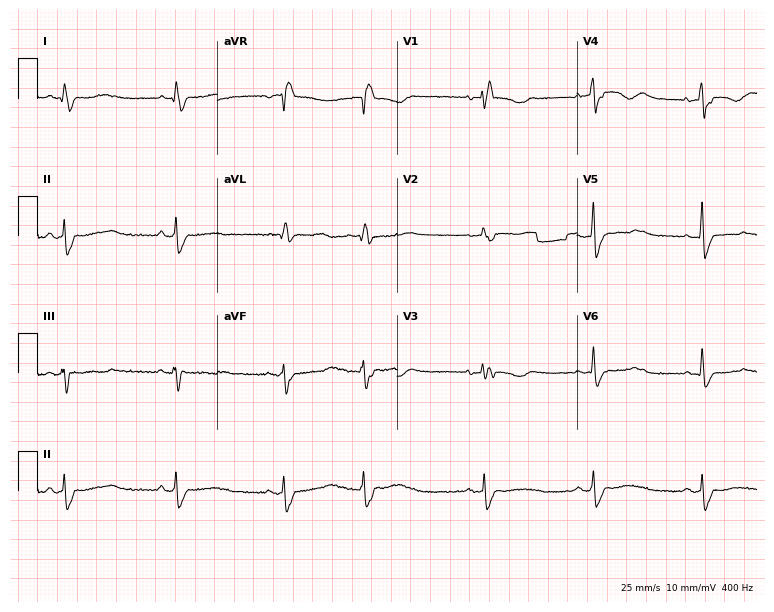
12-lead ECG from a female patient, 40 years old. Findings include right bundle branch block.